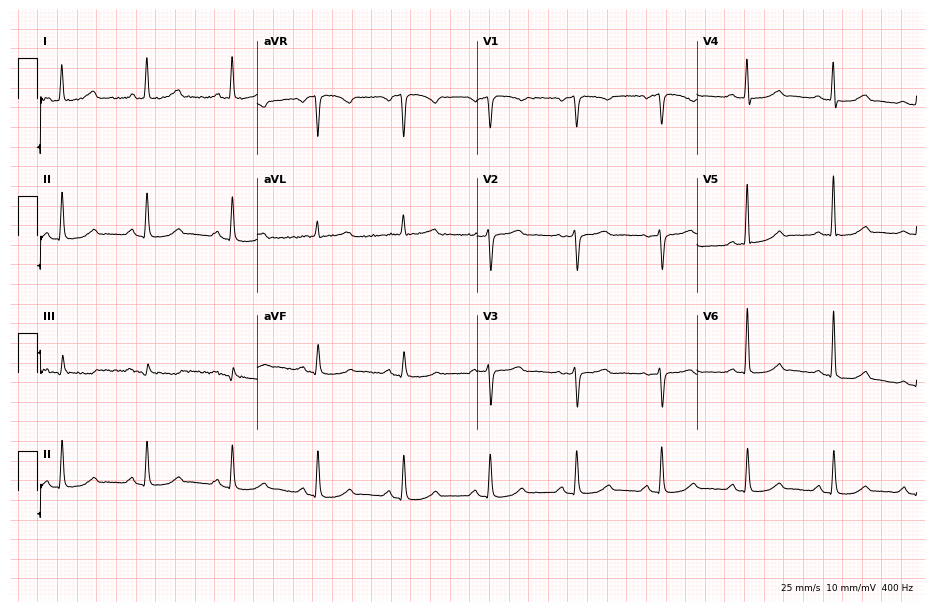
12-lead ECG from a 62-year-old female patient (9-second recording at 400 Hz). No first-degree AV block, right bundle branch block, left bundle branch block, sinus bradycardia, atrial fibrillation or sinus tachycardia recorded for this tracing.